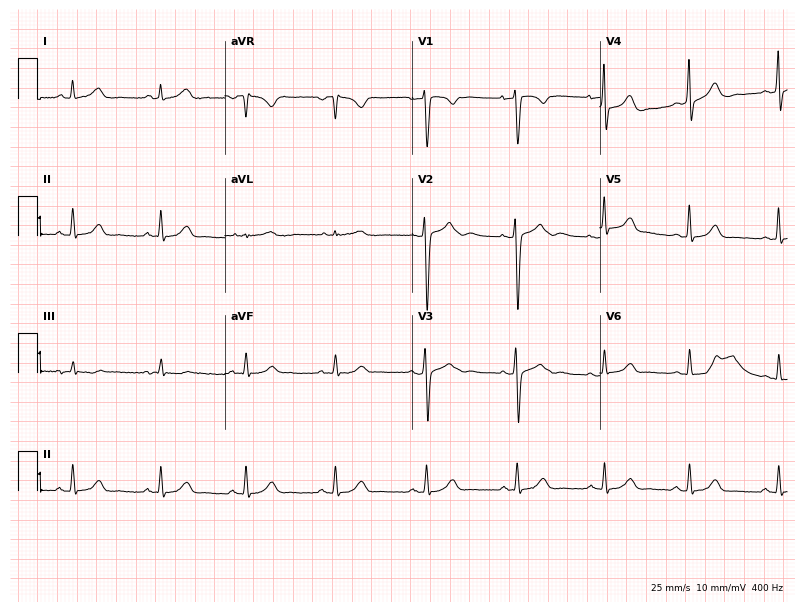
12-lead ECG (7.6-second recording at 400 Hz) from a female, 37 years old. Labelled as a normal ECG.